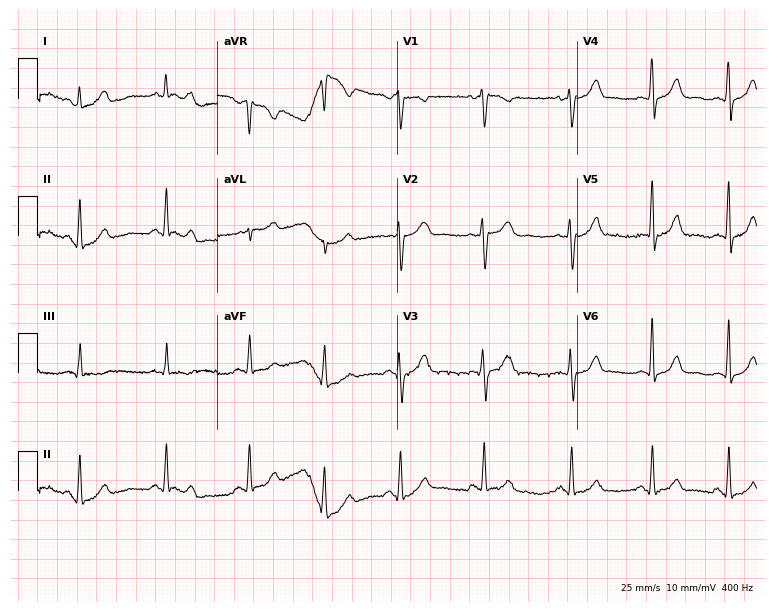
12-lead ECG from a 23-year-old female patient (7.3-second recording at 400 Hz). Recorded interpretation: within normal limits.